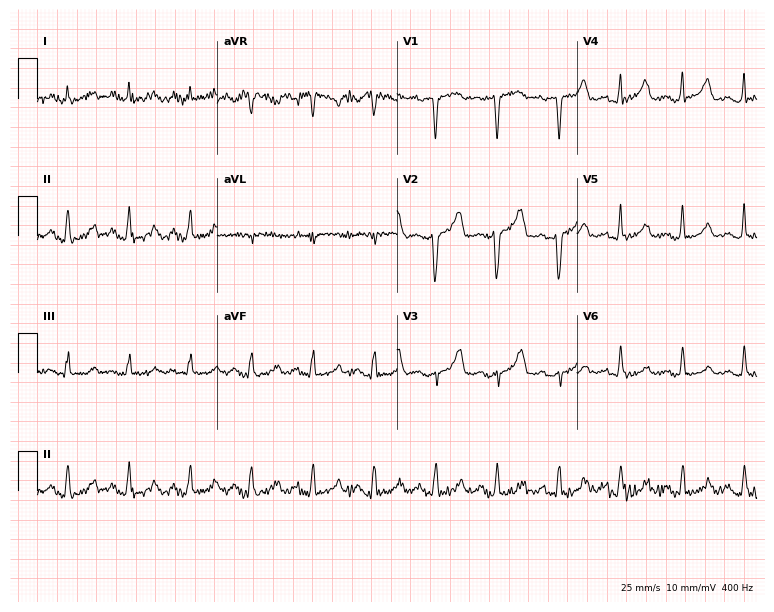
Standard 12-lead ECG recorded from a female patient, 55 years old. None of these six findings is recorded: first-degree AV block, right bundle branch block, left bundle branch block, sinus bradycardia, atrial fibrillation, sinus tachycardia. Only these six findings were labelled.